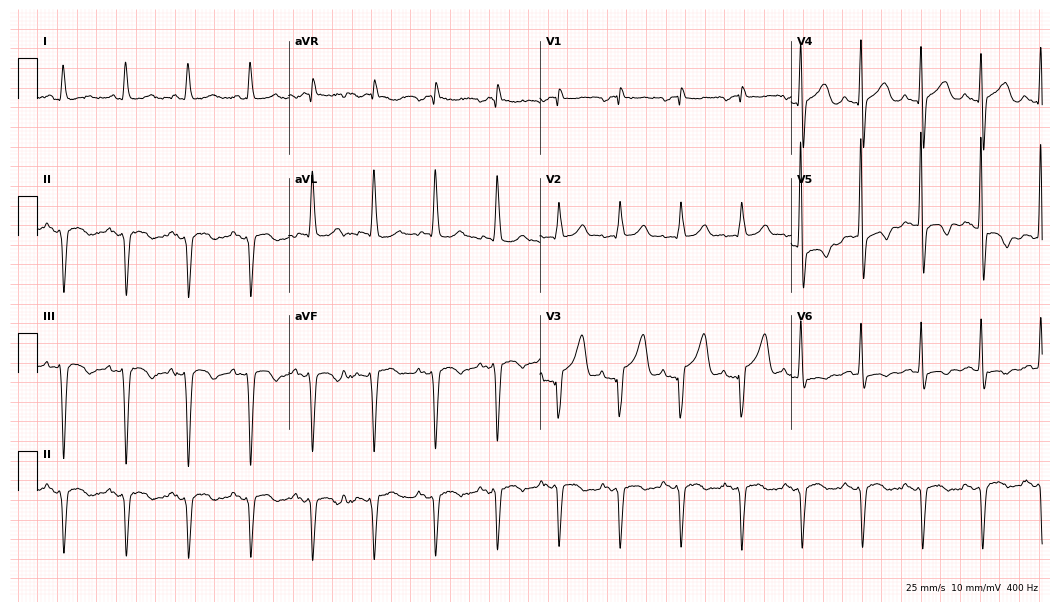
ECG — a man, 72 years old. Screened for six findings — first-degree AV block, right bundle branch block, left bundle branch block, sinus bradycardia, atrial fibrillation, sinus tachycardia — none is recorded.